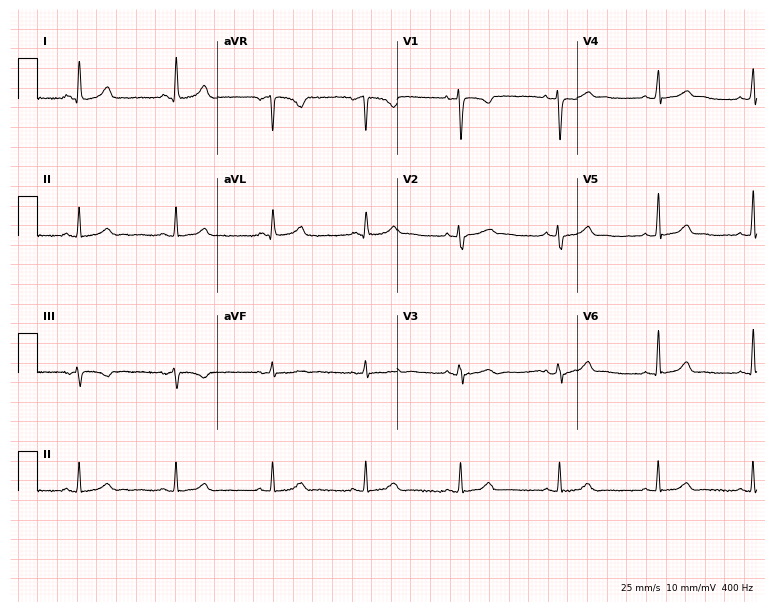
Electrocardiogram (7.3-second recording at 400 Hz), a female, 42 years old. Of the six screened findings (first-degree AV block, right bundle branch block (RBBB), left bundle branch block (LBBB), sinus bradycardia, atrial fibrillation (AF), sinus tachycardia), none is recorded.